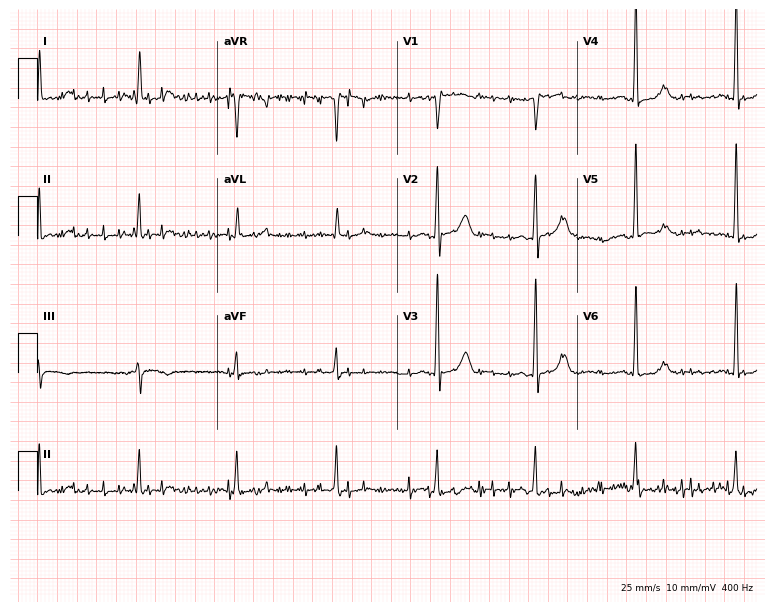
Standard 12-lead ECG recorded from a 68-year-old male patient (7.3-second recording at 400 Hz). None of these six findings is recorded: first-degree AV block, right bundle branch block, left bundle branch block, sinus bradycardia, atrial fibrillation, sinus tachycardia.